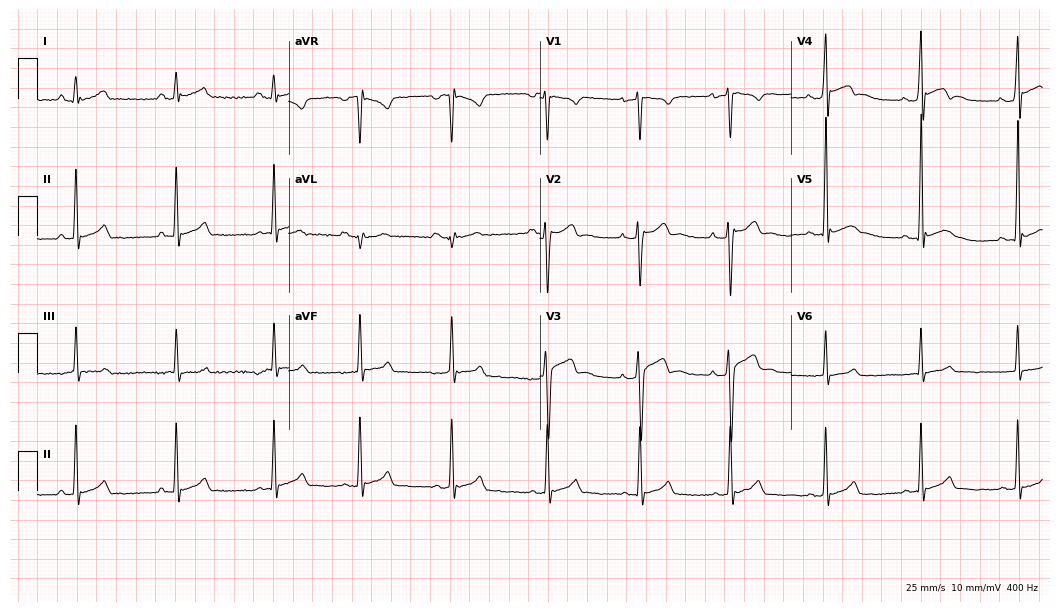
12-lead ECG from a male patient, 17 years old (10.2-second recording at 400 Hz). No first-degree AV block, right bundle branch block (RBBB), left bundle branch block (LBBB), sinus bradycardia, atrial fibrillation (AF) or sinus tachycardia recorded for this tracing.